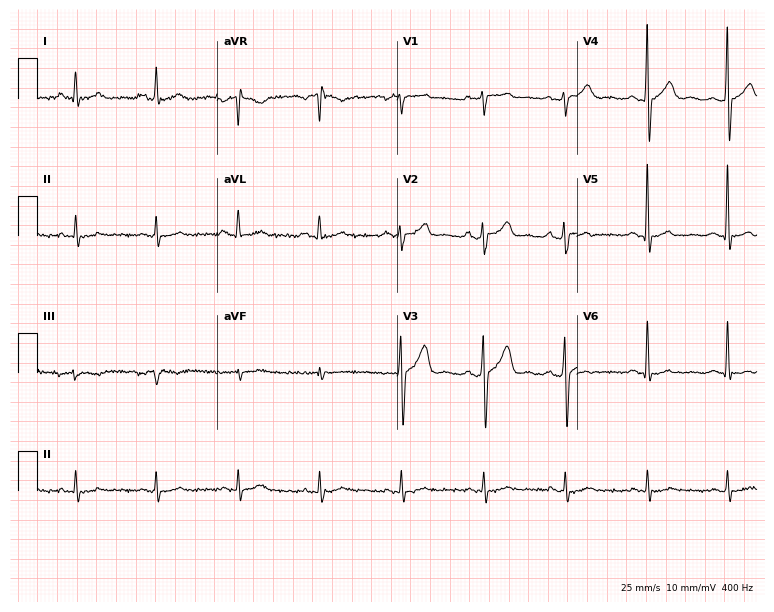
ECG — a 49-year-old male patient. Screened for six findings — first-degree AV block, right bundle branch block, left bundle branch block, sinus bradycardia, atrial fibrillation, sinus tachycardia — none is recorded.